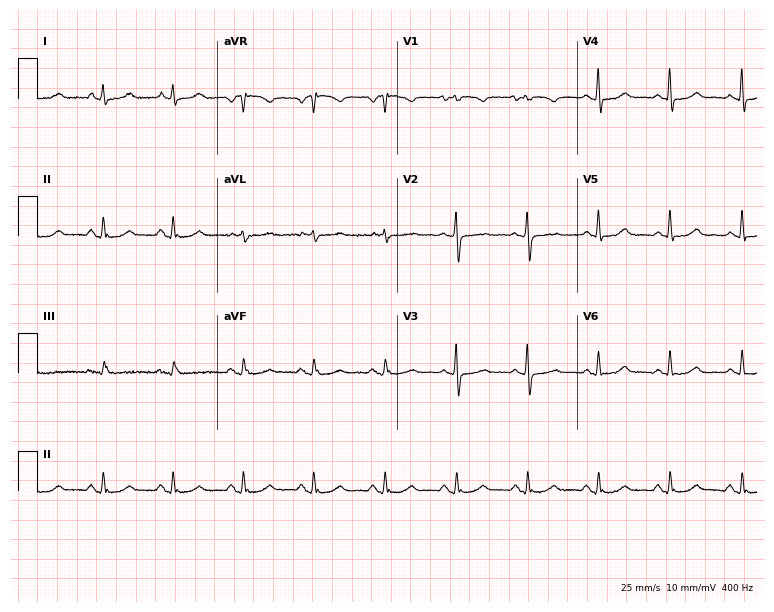
Resting 12-lead electrocardiogram. Patient: a female, 48 years old. None of these six findings is recorded: first-degree AV block, right bundle branch block, left bundle branch block, sinus bradycardia, atrial fibrillation, sinus tachycardia.